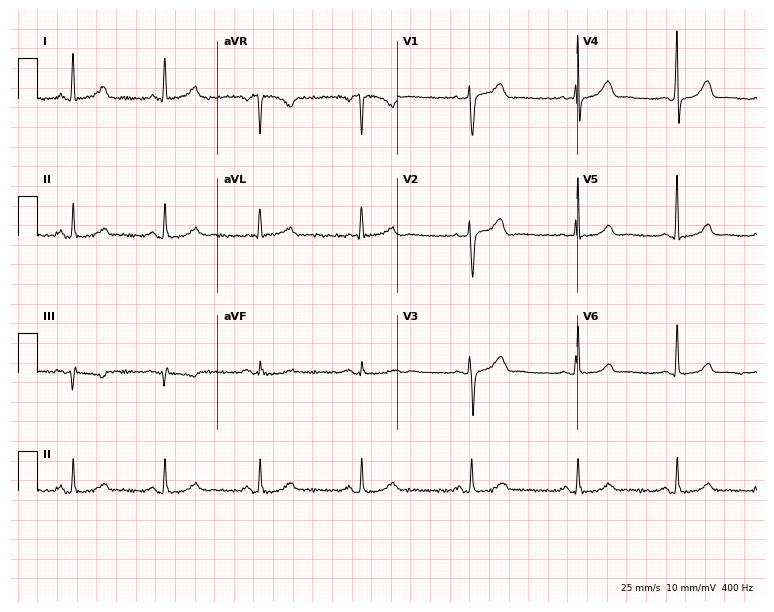
Standard 12-lead ECG recorded from a 56-year-old female patient (7.3-second recording at 400 Hz). Read as a normal ECG.